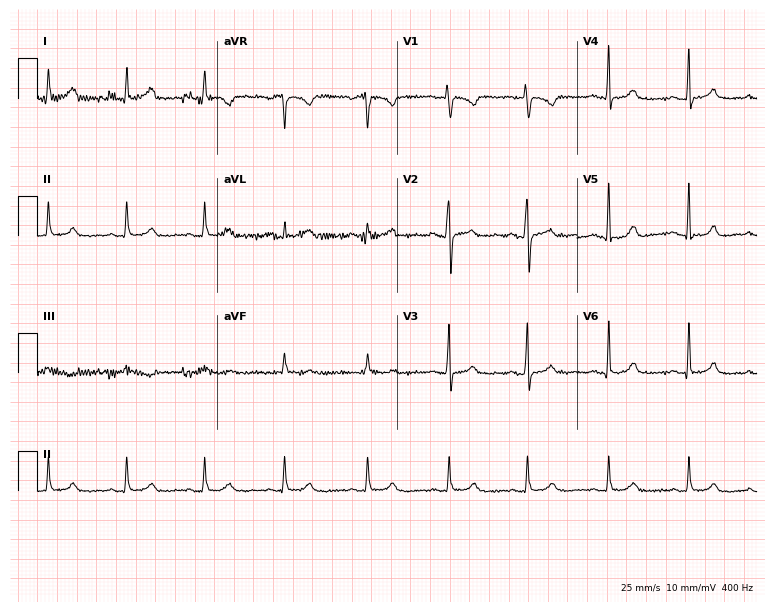
Electrocardiogram (7.3-second recording at 400 Hz), a 31-year-old woman. Of the six screened findings (first-degree AV block, right bundle branch block, left bundle branch block, sinus bradycardia, atrial fibrillation, sinus tachycardia), none is recorded. Other findings, if any, are not listed.